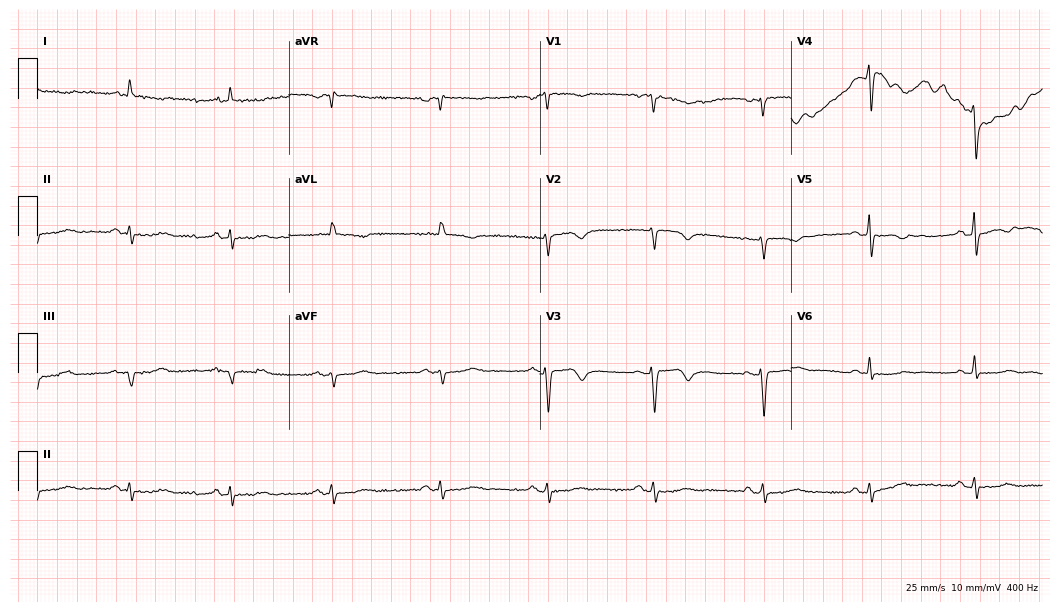
ECG (10.2-second recording at 400 Hz) — a woman, 64 years old. Screened for six findings — first-degree AV block, right bundle branch block, left bundle branch block, sinus bradycardia, atrial fibrillation, sinus tachycardia — none is recorded.